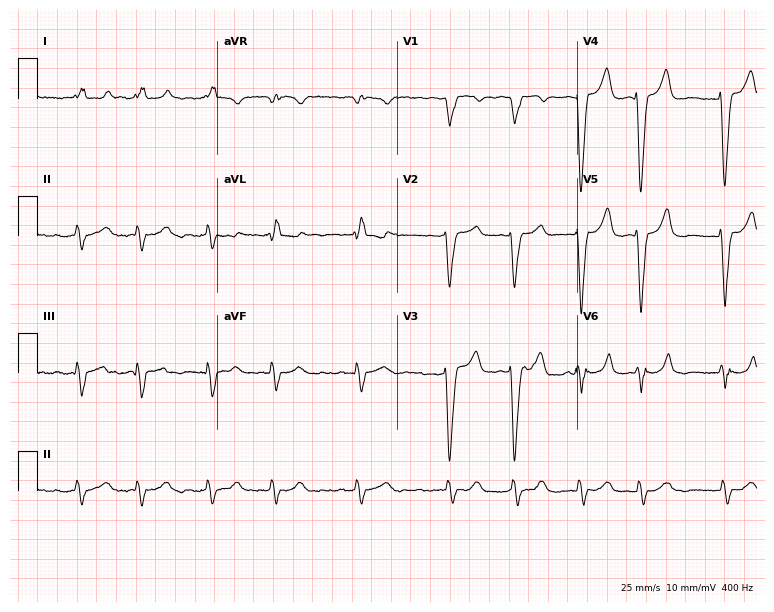
ECG — a male patient, 76 years old. Findings include left bundle branch block, atrial fibrillation.